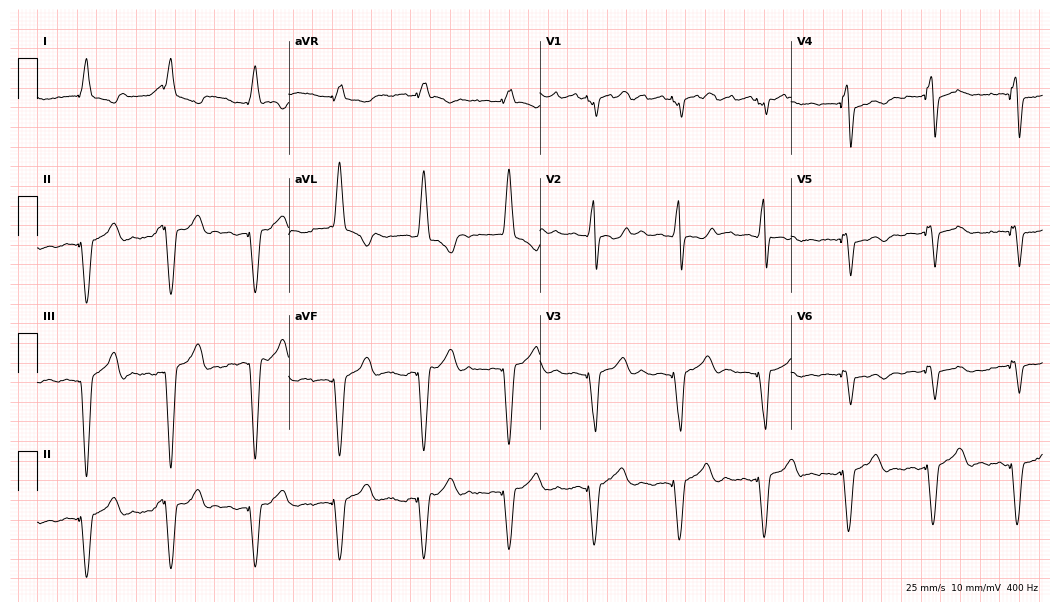
ECG (10.2-second recording at 400 Hz) — a woman, 85 years old. Screened for six findings — first-degree AV block, right bundle branch block, left bundle branch block, sinus bradycardia, atrial fibrillation, sinus tachycardia — none is recorded. Only these six findings were labelled.